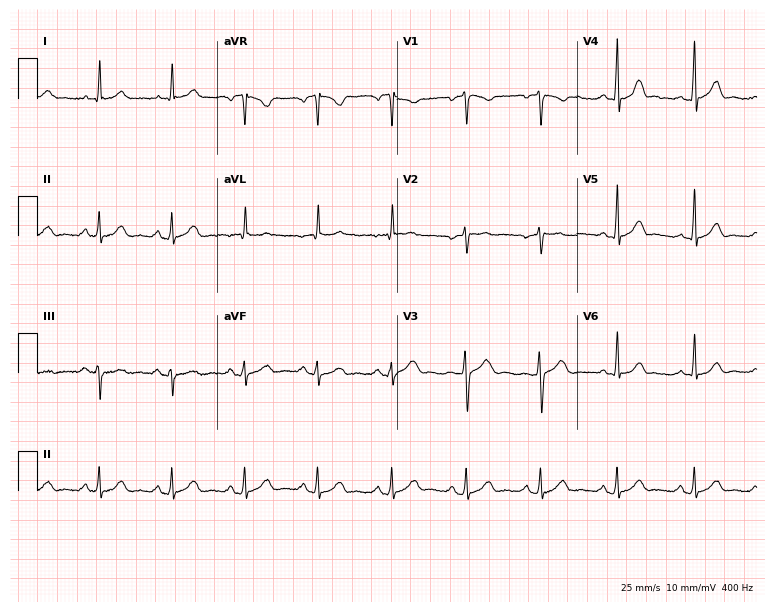
12-lead ECG (7.3-second recording at 400 Hz) from a woman, 45 years old. Labelled as a normal ECG.